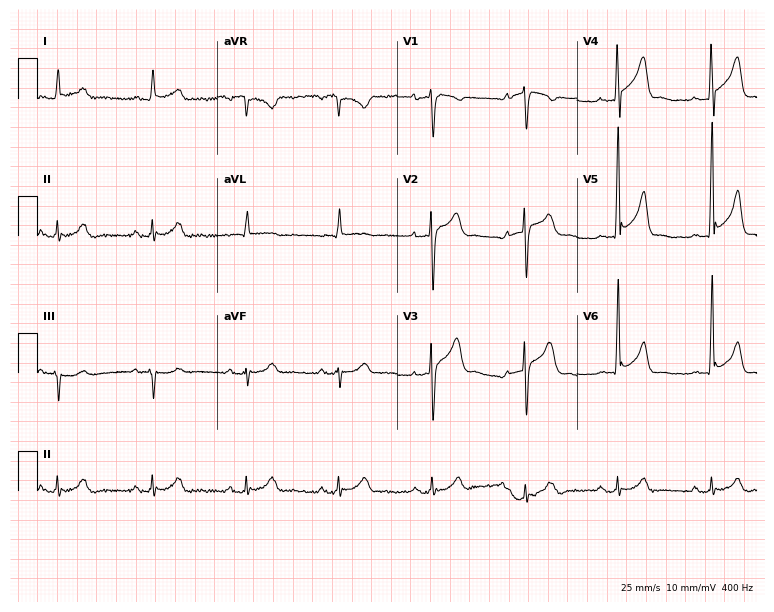
12-lead ECG (7.3-second recording at 400 Hz) from a man, 61 years old. Screened for six findings — first-degree AV block, right bundle branch block, left bundle branch block, sinus bradycardia, atrial fibrillation, sinus tachycardia — none is recorded. Only these six findings were labelled.